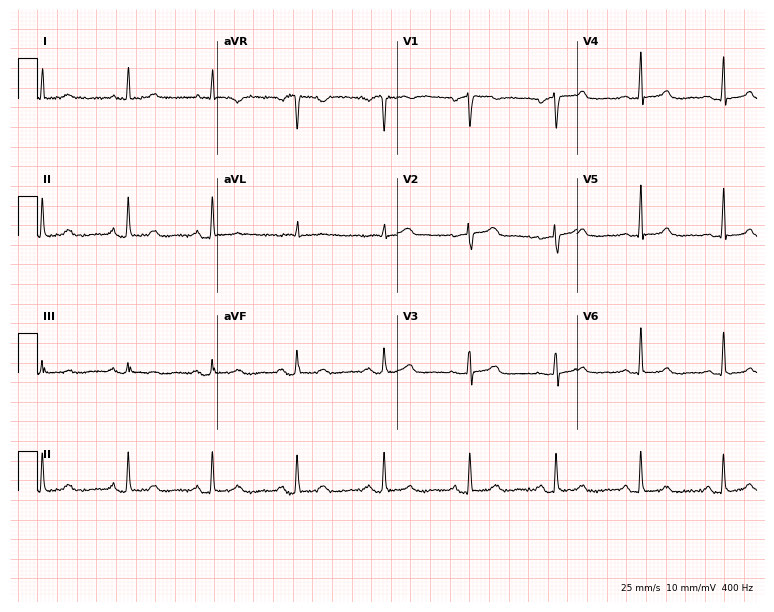
Electrocardiogram (7.3-second recording at 400 Hz), a 55-year-old female. Overall reading on record: normal ECG.